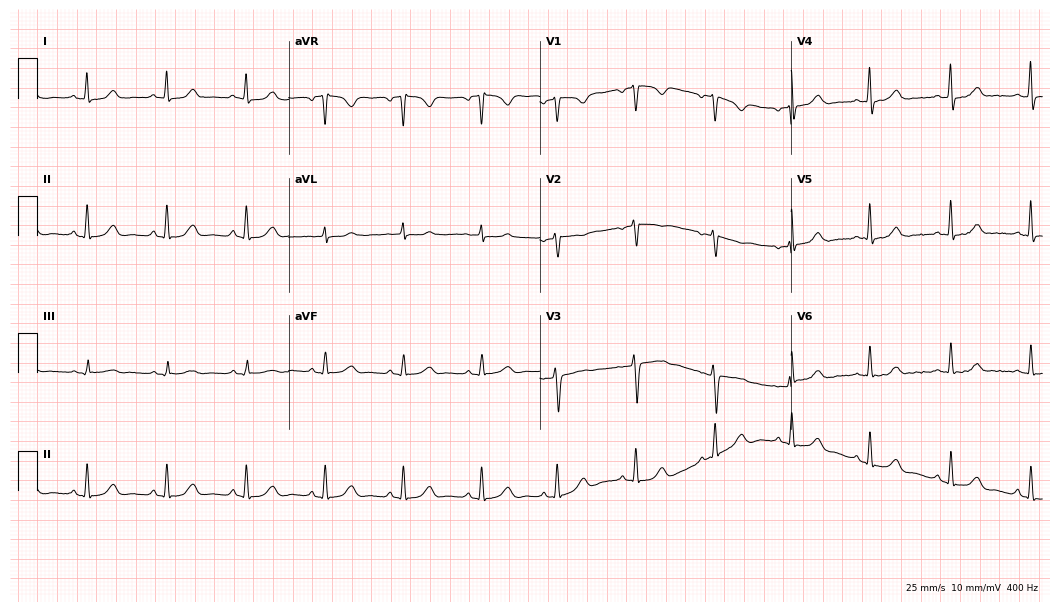
Resting 12-lead electrocardiogram. Patient: a female, 28 years old. Read as a normal ECG.